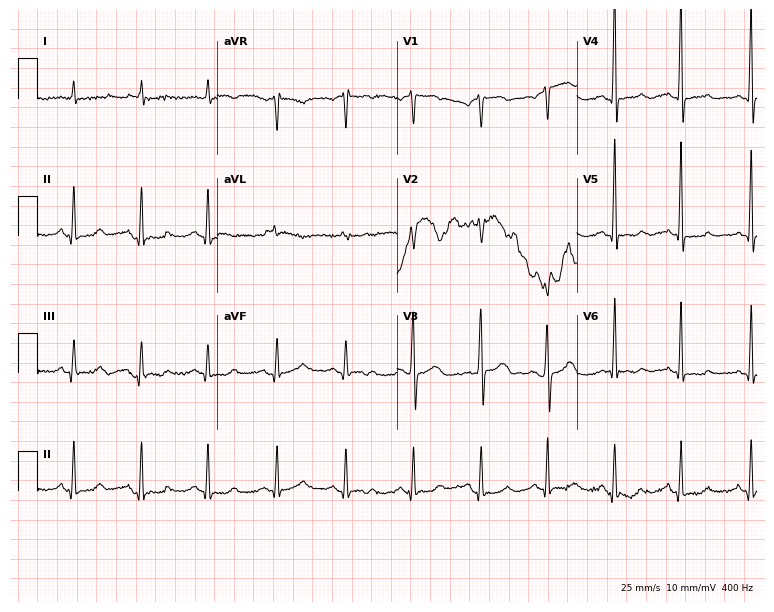
Electrocardiogram, a man, 71 years old. Of the six screened findings (first-degree AV block, right bundle branch block, left bundle branch block, sinus bradycardia, atrial fibrillation, sinus tachycardia), none is recorded. Findings outside these six are not listed.